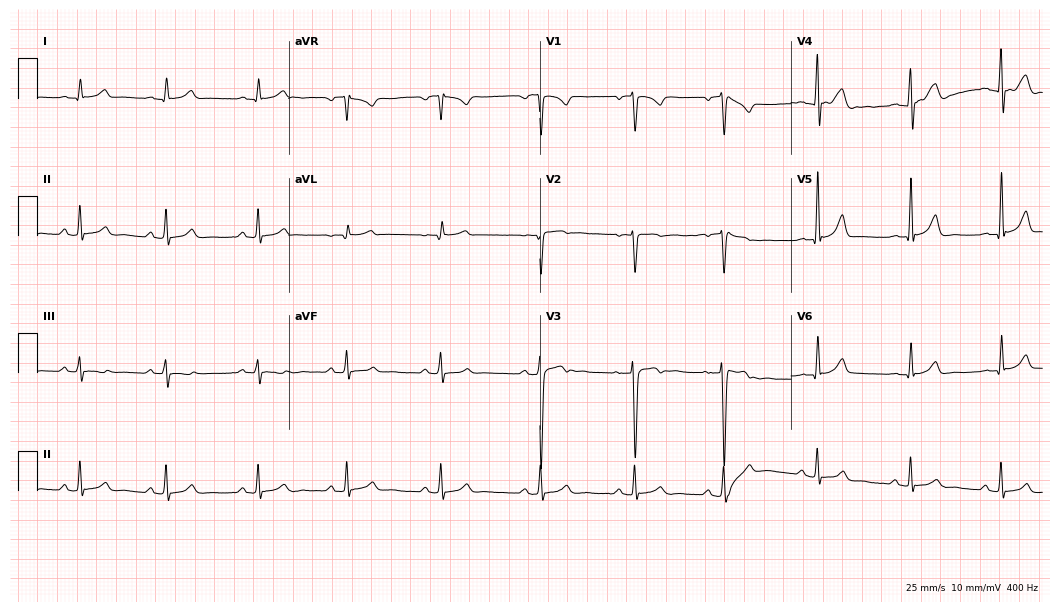
Electrocardiogram, a 35-year-old male. Overall reading on record: normal ECG.